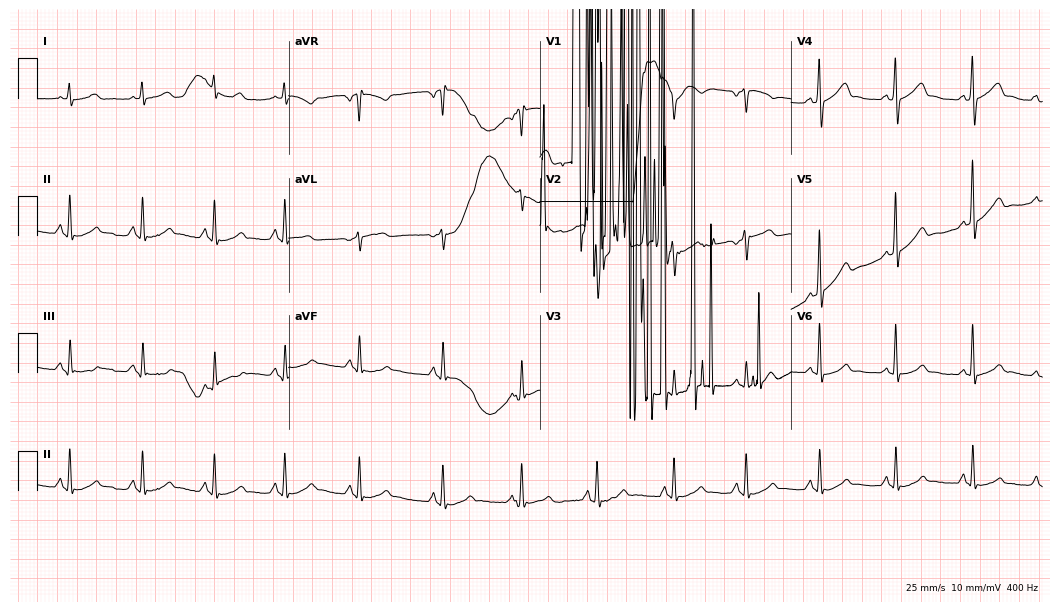
12-lead ECG from a 53-year-old male patient. Screened for six findings — first-degree AV block, right bundle branch block, left bundle branch block, sinus bradycardia, atrial fibrillation, sinus tachycardia — none is recorded.